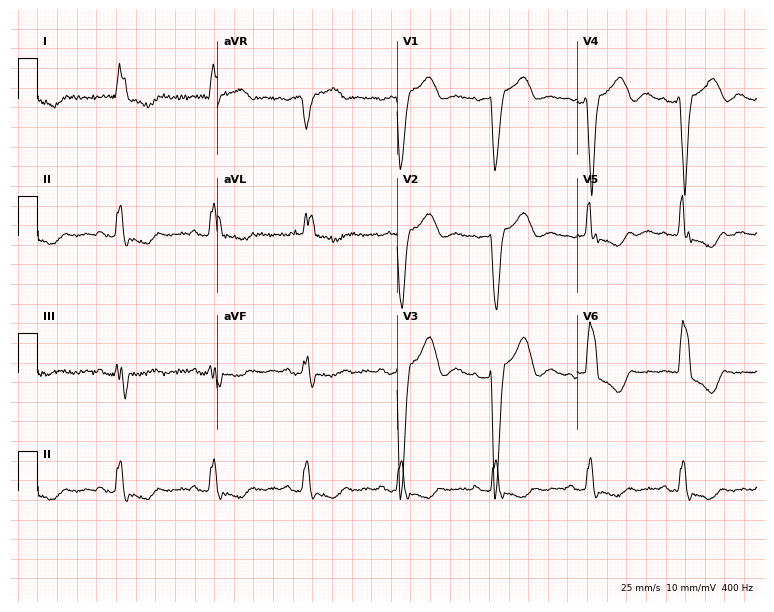
12-lead ECG (7.3-second recording at 400 Hz) from a 61-year-old woman. Findings include left bundle branch block.